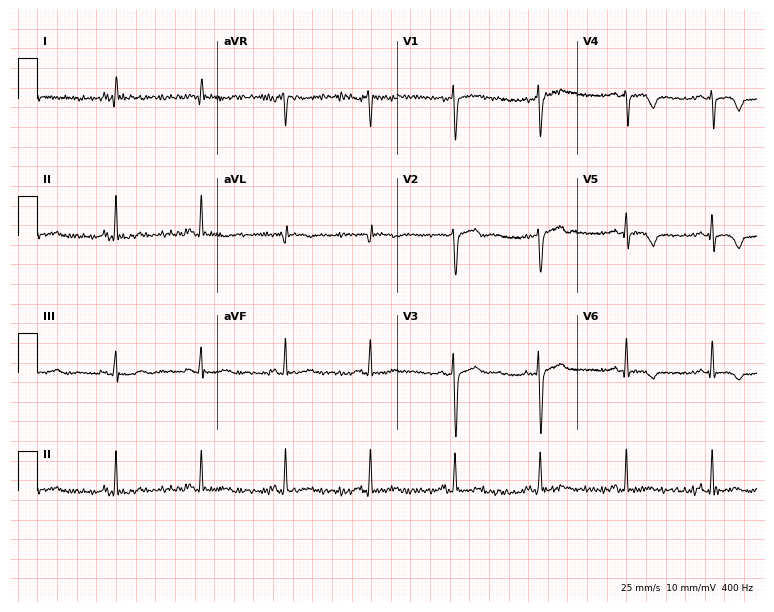
12-lead ECG from a 59-year-old woman. No first-degree AV block, right bundle branch block, left bundle branch block, sinus bradycardia, atrial fibrillation or sinus tachycardia recorded for this tracing.